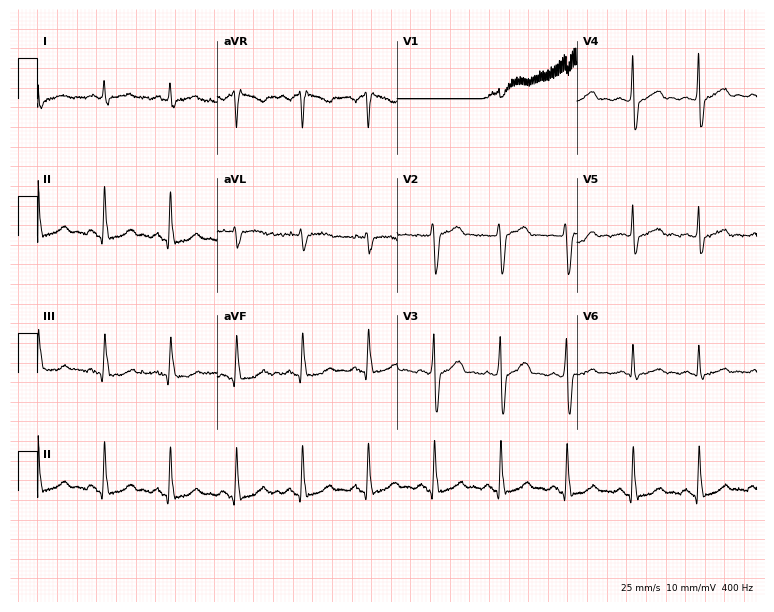
Standard 12-lead ECG recorded from a man, 68 years old (7.3-second recording at 400 Hz). None of these six findings is recorded: first-degree AV block, right bundle branch block (RBBB), left bundle branch block (LBBB), sinus bradycardia, atrial fibrillation (AF), sinus tachycardia.